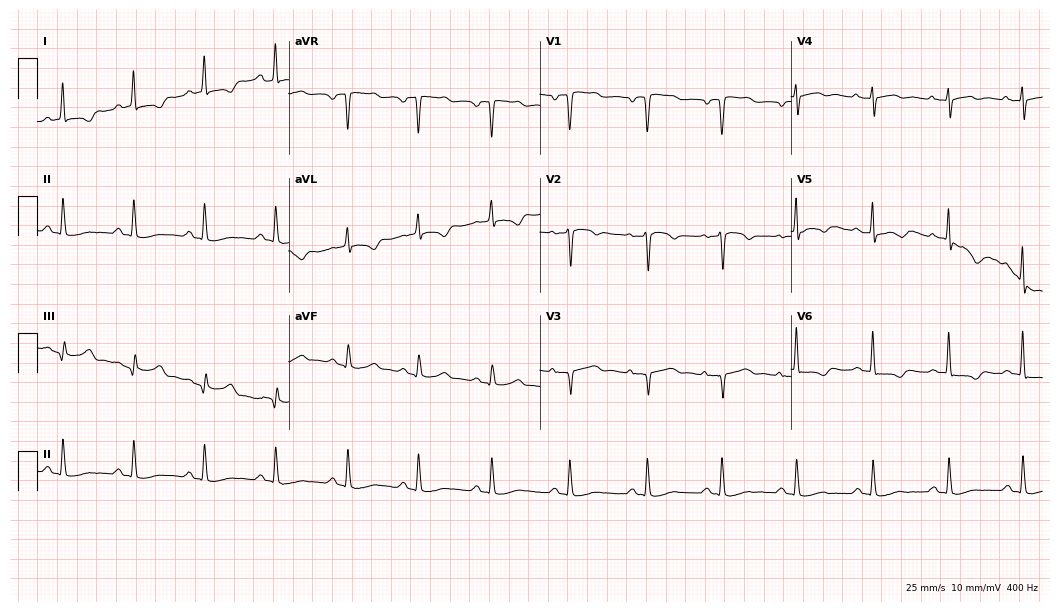
12-lead ECG from a man, 64 years old (10.2-second recording at 400 Hz). No first-degree AV block, right bundle branch block, left bundle branch block, sinus bradycardia, atrial fibrillation or sinus tachycardia recorded for this tracing. Other findings, if any, are not listed.